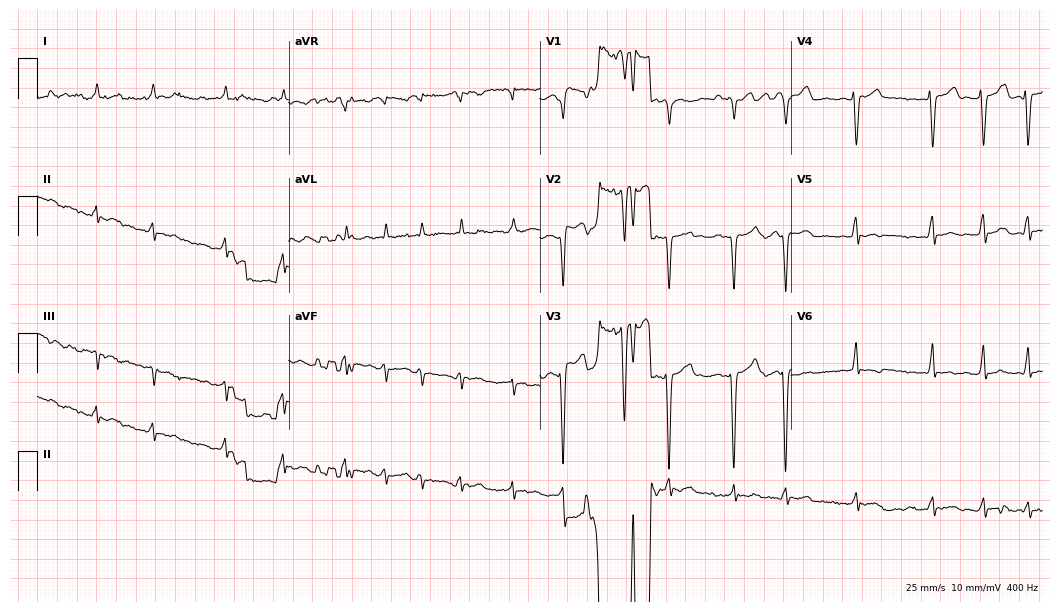
Electrocardiogram, a 47-year-old man. Of the six screened findings (first-degree AV block, right bundle branch block, left bundle branch block, sinus bradycardia, atrial fibrillation, sinus tachycardia), none is recorded.